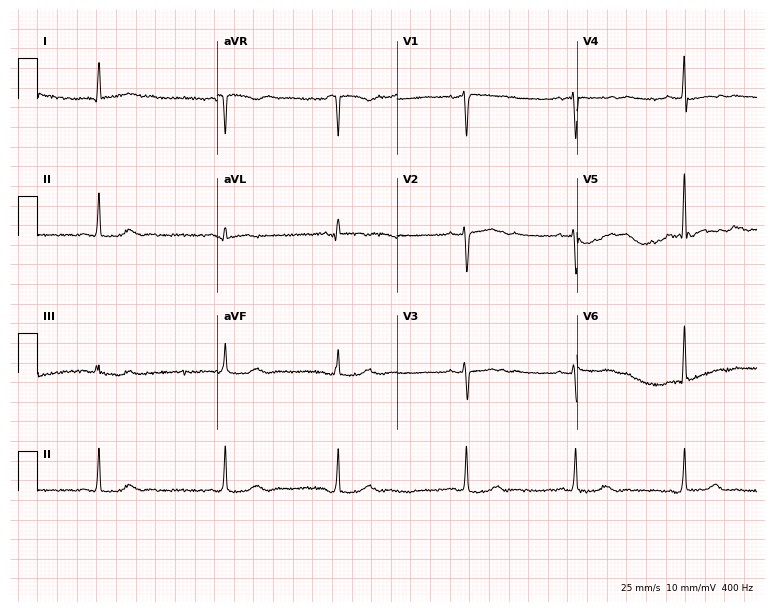
Resting 12-lead electrocardiogram (7.3-second recording at 400 Hz). Patient: a 66-year-old woman. The tracing shows sinus bradycardia (a sinus rate of 50 beats per minute or less).